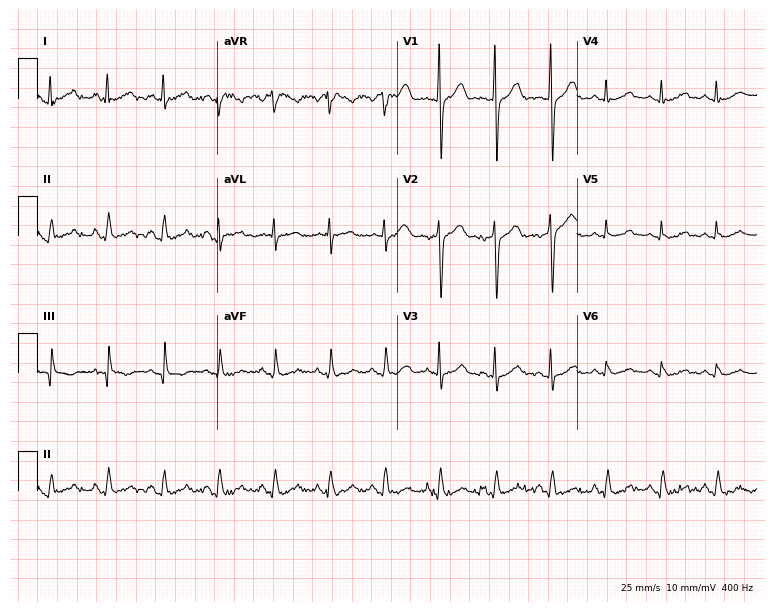
Standard 12-lead ECG recorded from a 61-year-old female patient (7.3-second recording at 400 Hz). None of these six findings is recorded: first-degree AV block, right bundle branch block (RBBB), left bundle branch block (LBBB), sinus bradycardia, atrial fibrillation (AF), sinus tachycardia.